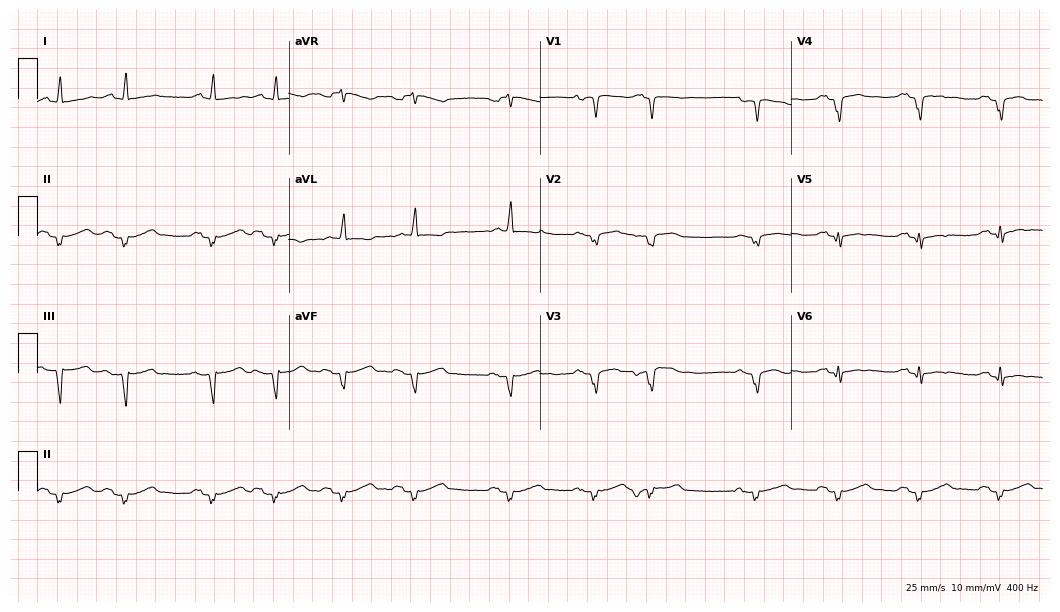
12-lead ECG from a male, 82 years old. Screened for six findings — first-degree AV block, right bundle branch block (RBBB), left bundle branch block (LBBB), sinus bradycardia, atrial fibrillation (AF), sinus tachycardia — none is recorded. Only these six findings were labelled.